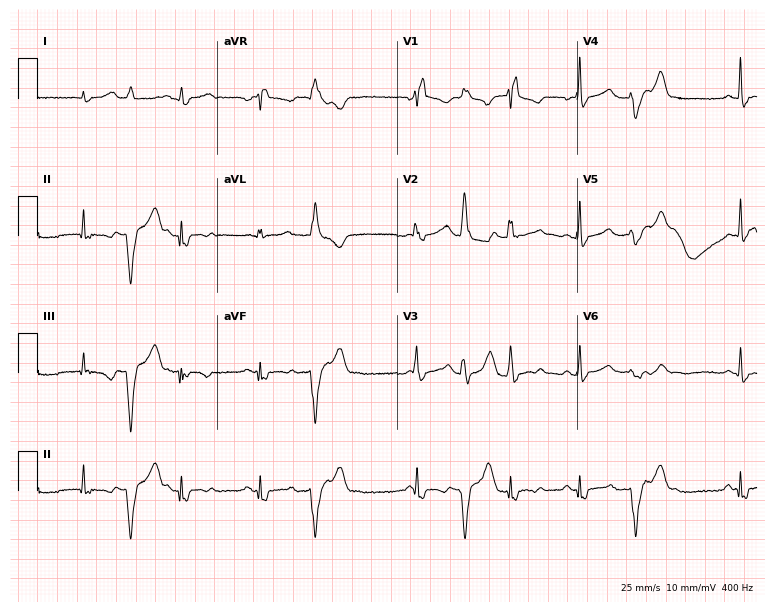
ECG (7.3-second recording at 400 Hz) — a 50-year-old female patient. Screened for six findings — first-degree AV block, right bundle branch block (RBBB), left bundle branch block (LBBB), sinus bradycardia, atrial fibrillation (AF), sinus tachycardia — none is recorded.